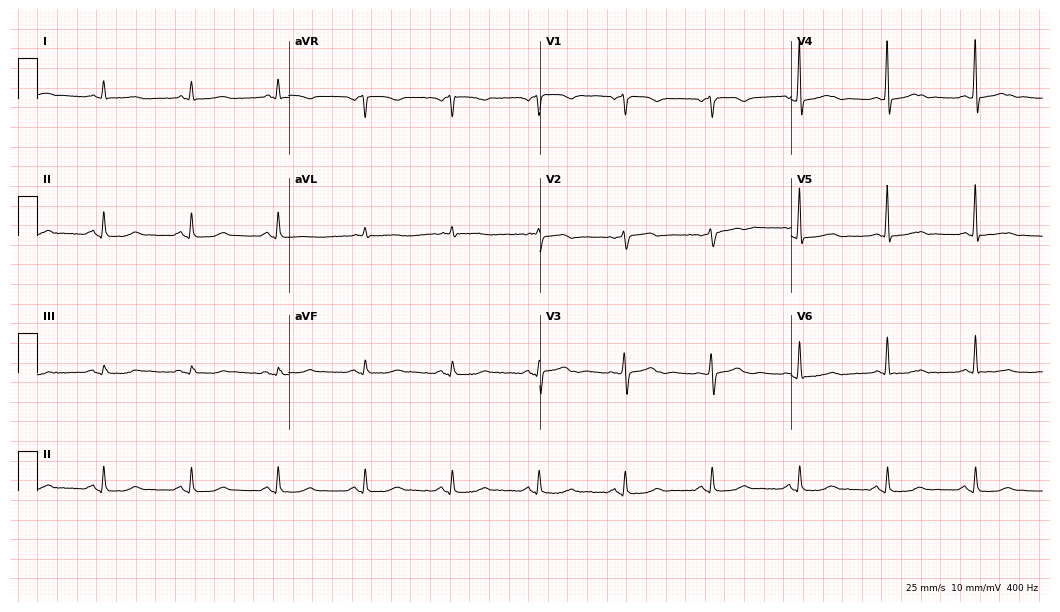
Standard 12-lead ECG recorded from a male patient, 72 years old (10.2-second recording at 400 Hz). Read as a normal ECG.